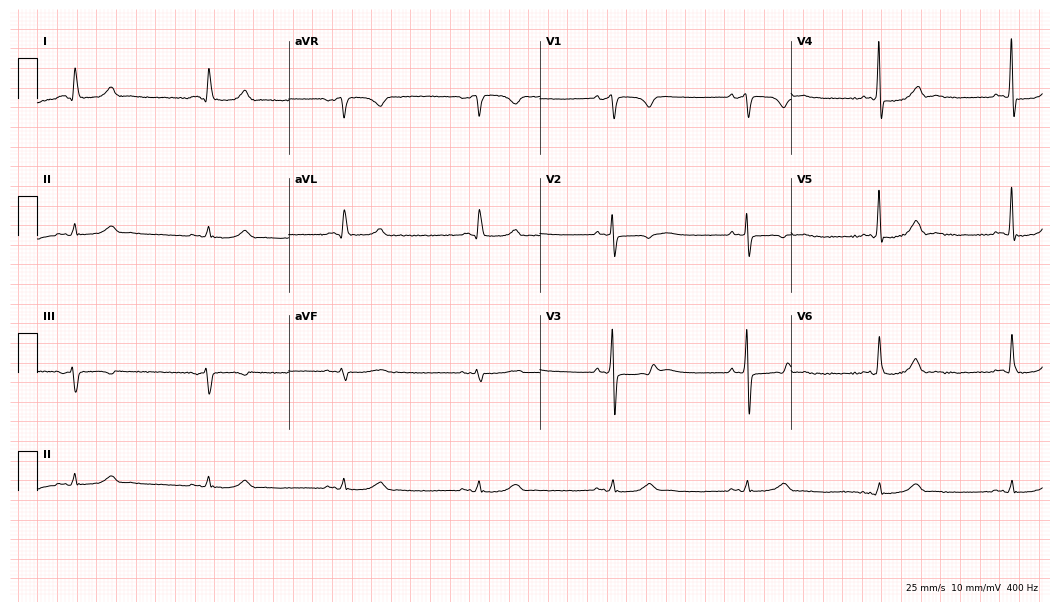
12-lead ECG from an 80-year-old man. Findings include sinus bradycardia (a sinus rate of 50 beats per minute or less).